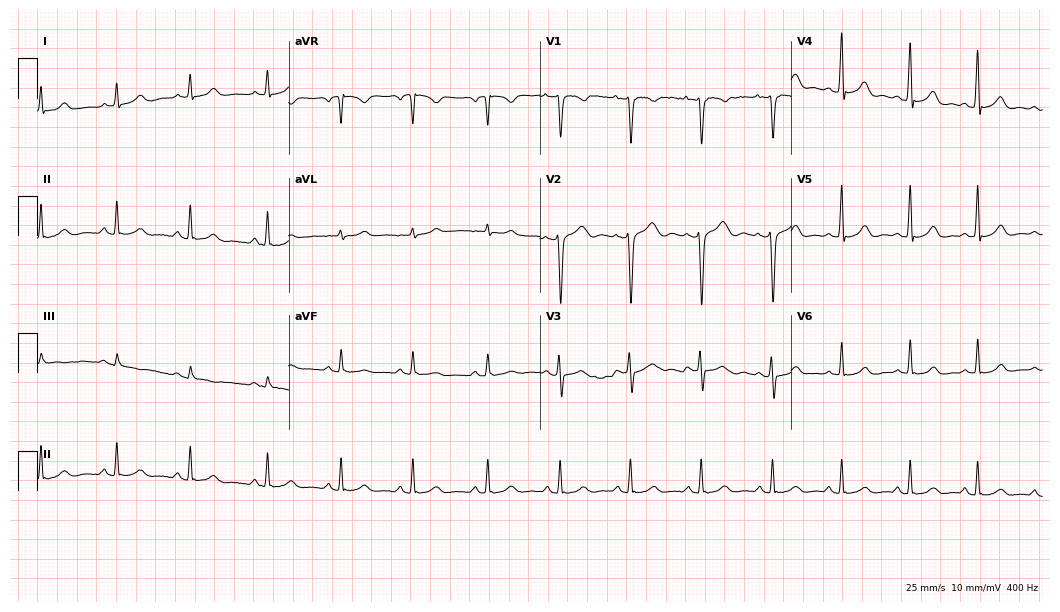
12-lead ECG from a female, 22 years old. Labelled as a normal ECG.